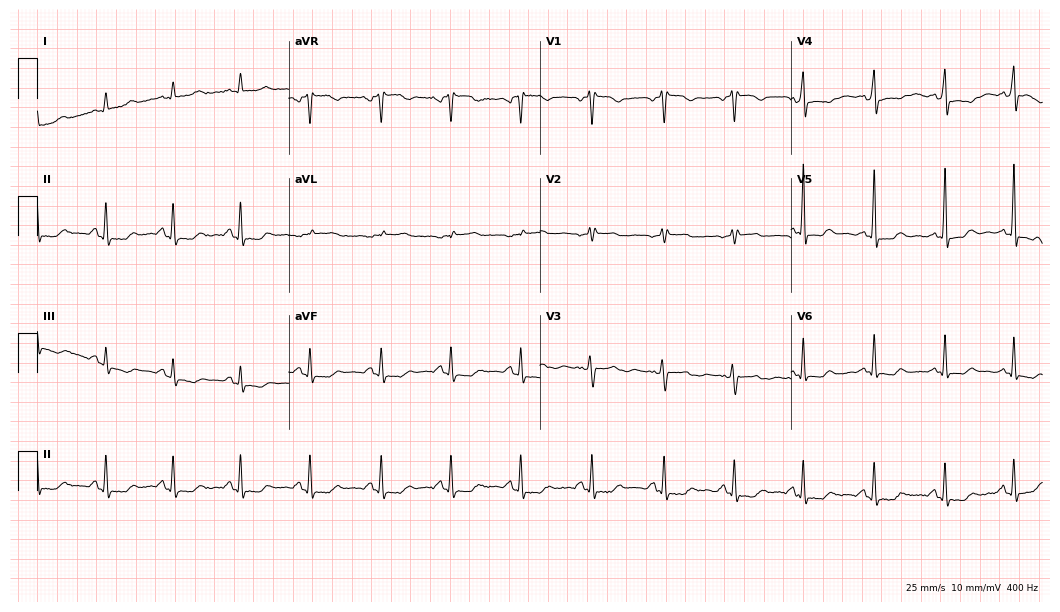
ECG — a 46-year-old female patient. Screened for six findings — first-degree AV block, right bundle branch block, left bundle branch block, sinus bradycardia, atrial fibrillation, sinus tachycardia — none is recorded.